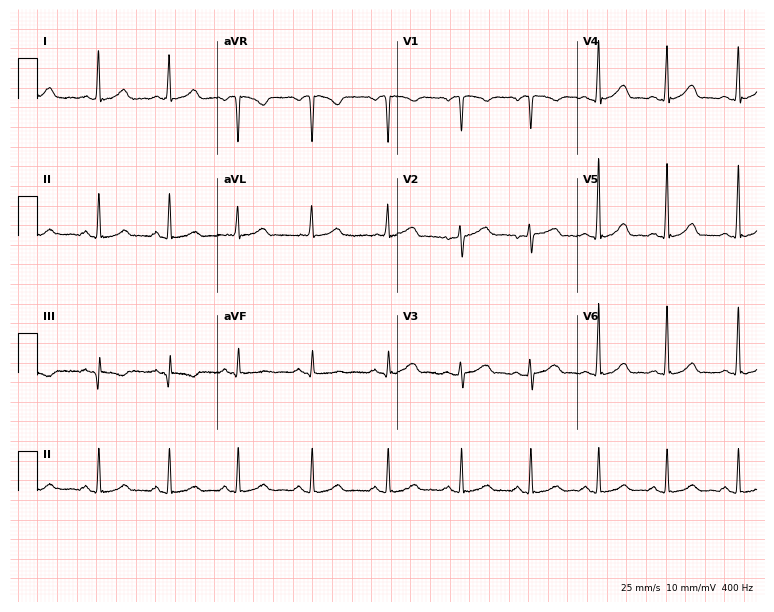
Electrocardiogram, a 58-year-old female. Overall reading on record: normal ECG.